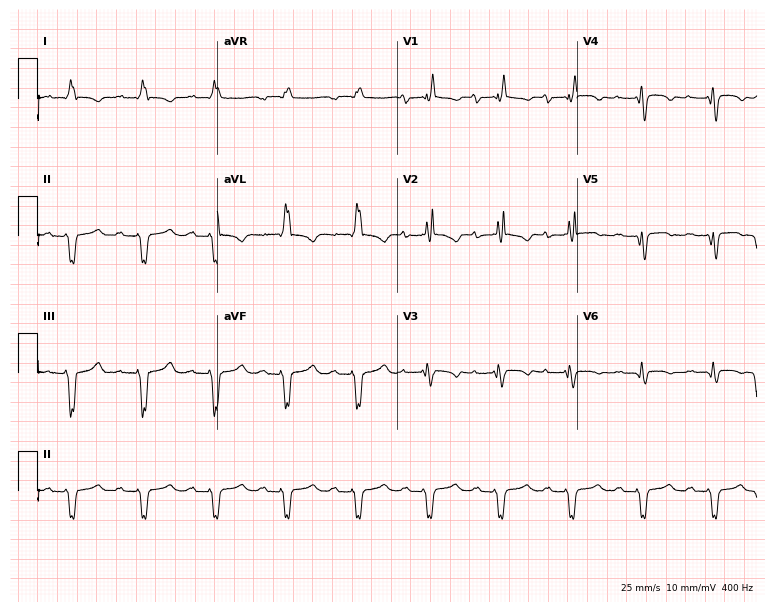
ECG (7.3-second recording at 400 Hz) — a man, 34 years old. Findings include first-degree AV block, right bundle branch block.